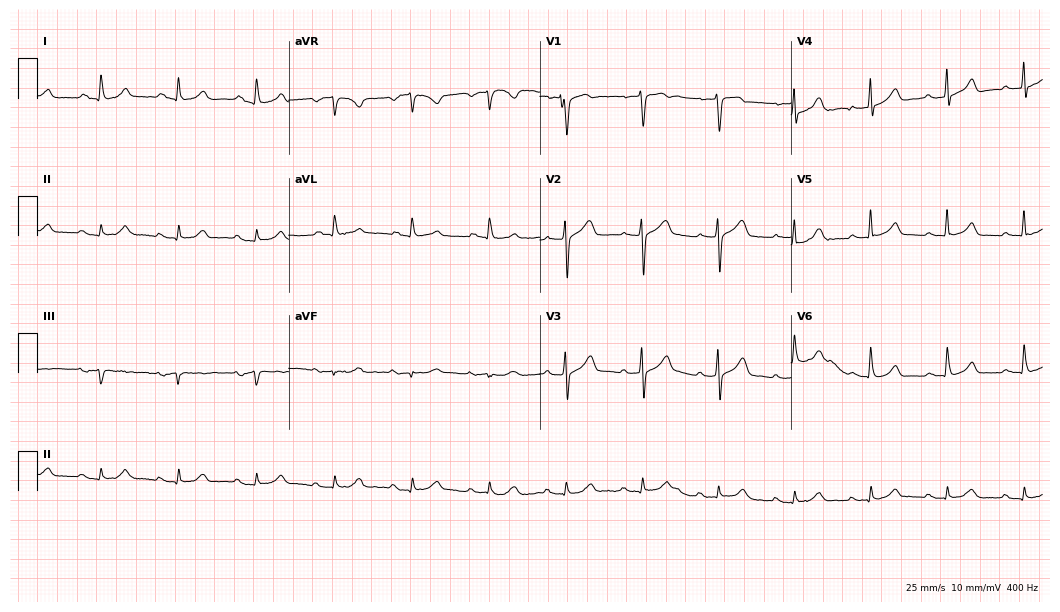
Standard 12-lead ECG recorded from a man, 71 years old (10.2-second recording at 400 Hz). The tracing shows first-degree AV block.